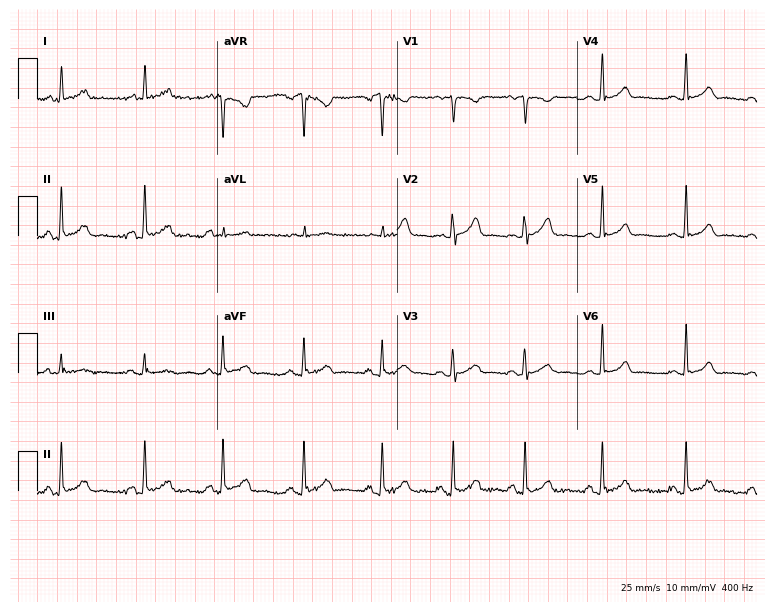
12-lead ECG from a 23-year-old female patient. Labelled as a normal ECG.